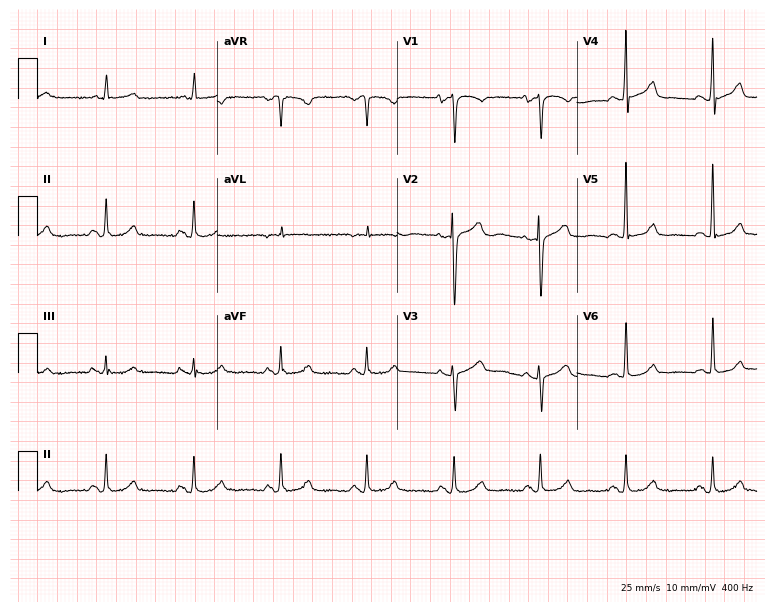
12-lead ECG from a 74-year-old woman. Recorded interpretation: within normal limits.